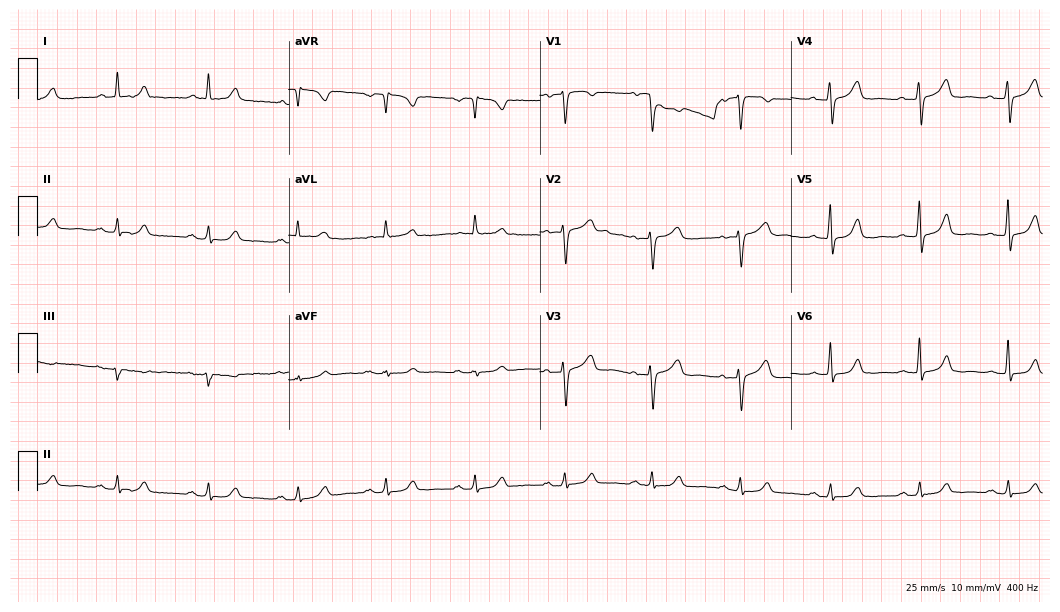
12-lead ECG from an 80-year-old female patient. Labelled as a normal ECG.